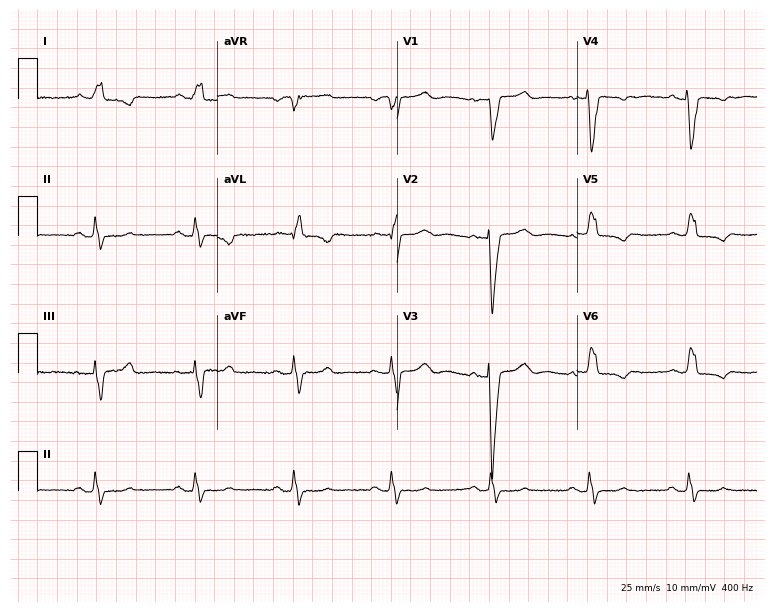
12-lead ECG from a 67-year-old female (7.3-second recording at 400 Hz). Shows left bundle branch block (LBBB).